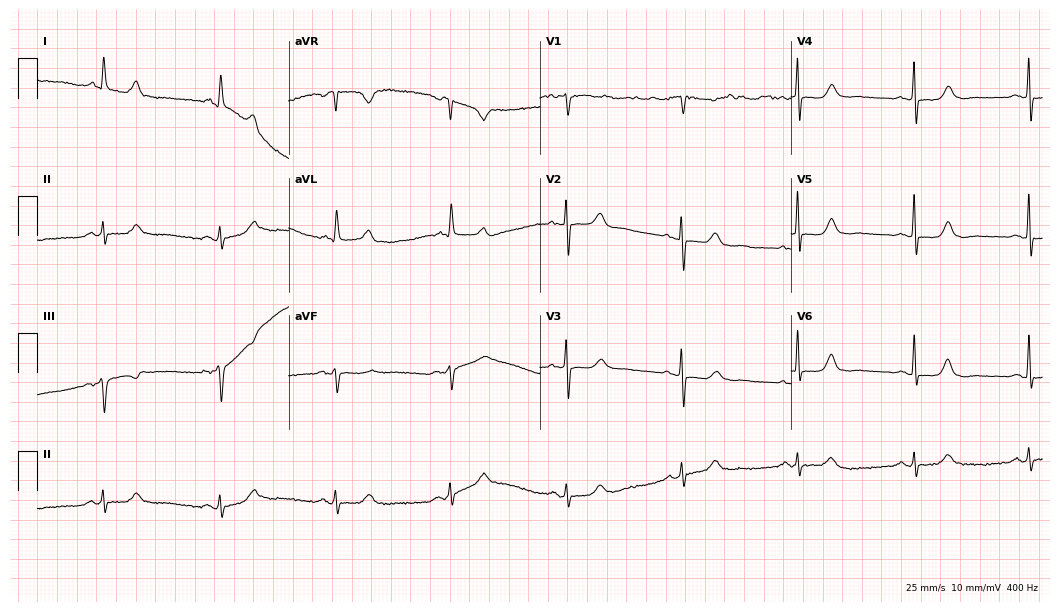
Resting 12-lead electrocardiogram (10.2-second recording at 400 Hz). Patient: an 83-year-old female. The tracing shows sinus bradycardia (a sinus rate of 50 beats per minute or less).